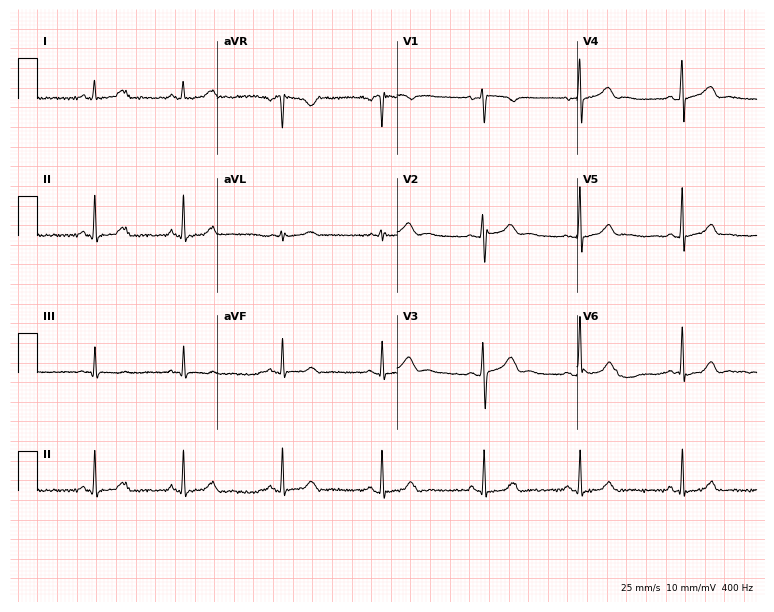
Resting 12-lead electrocardiogram (7.3-second recording at 400 Hz). Patient: a 29-year-old woman. None of these six findings is recorded: first-degree AV block, right bundle branch block, left bundle branch block, sinus bradycardia, atrial fibrillation, sinus tachycardia. Only these six findings were labelled.